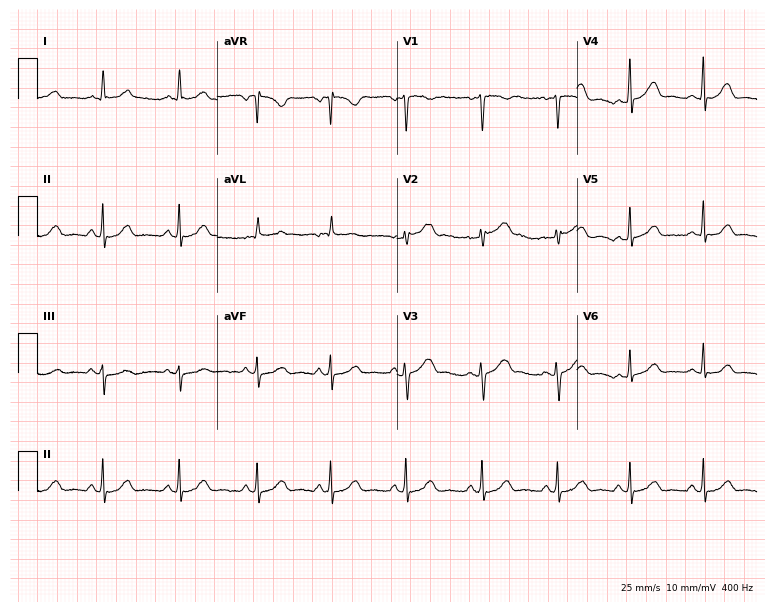
Resting 12-lead electrocardiogram (7.3-second recording at 400 Hz). Patient: a 36-year-old female. Read as a normal ECG.